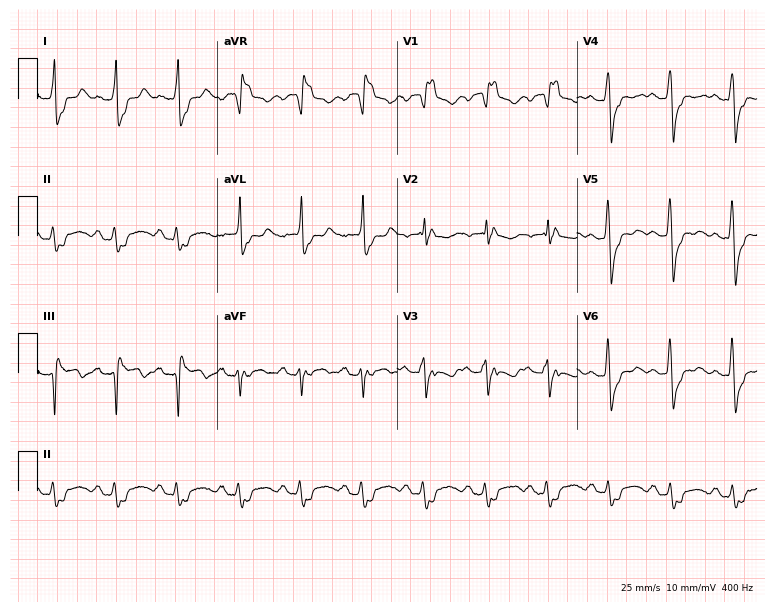
12-lead ECG from a woman, 72 years old (7.3-second recording at 400 Hz). Shows right bundle branch block.